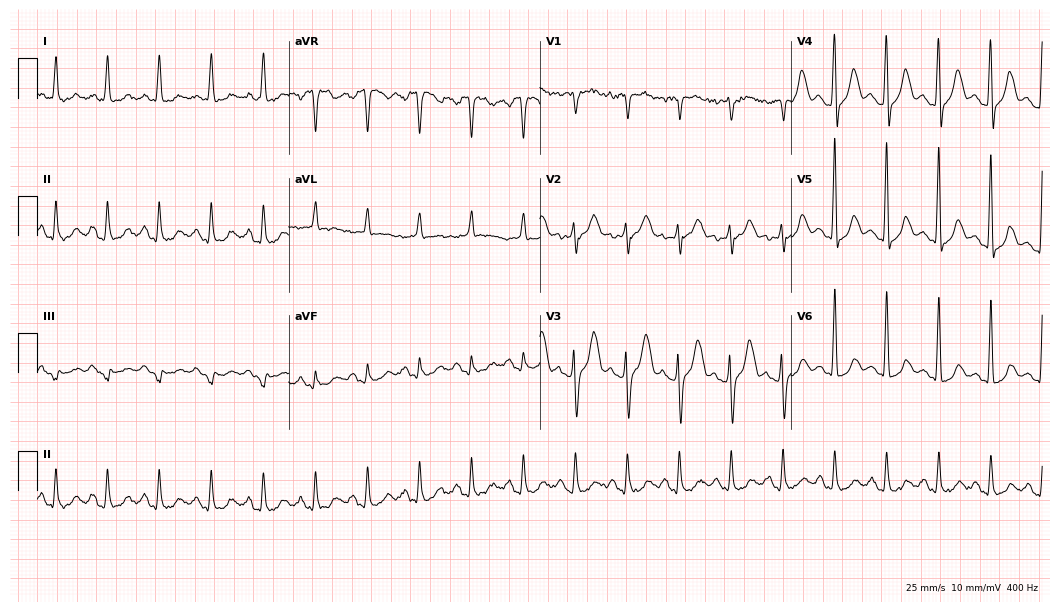
12-lead ECG from a 65-year-old female. Findings include sinus tachycardia (a sinus rate of 100 beats per minute or more).